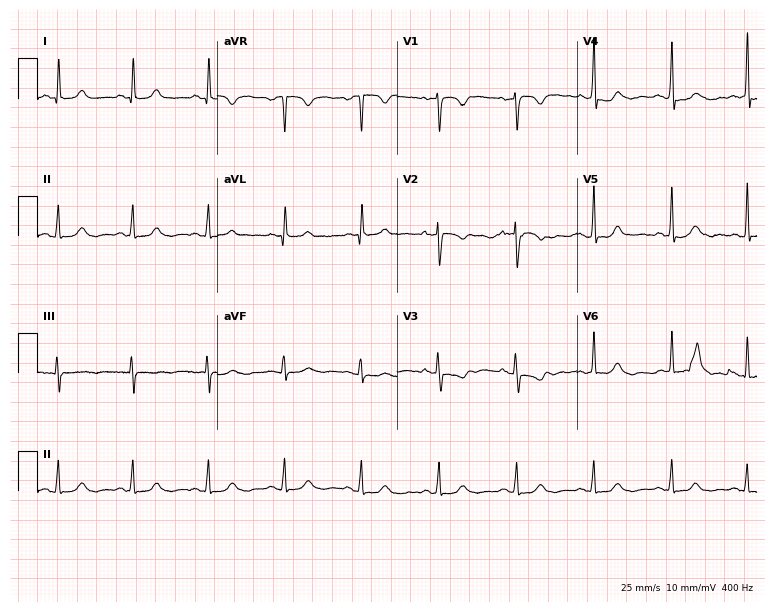
12-lead ECG (7.3-second recording at 400 Hz) from a 50-year-old woman. Screened for six findings — first-degree AV block, right bundle branch block, left bundle branch block, sinus bradycardia, atrial fibrillation, sinus tachycardia — none is recorded. Findings outside these six are not listed.